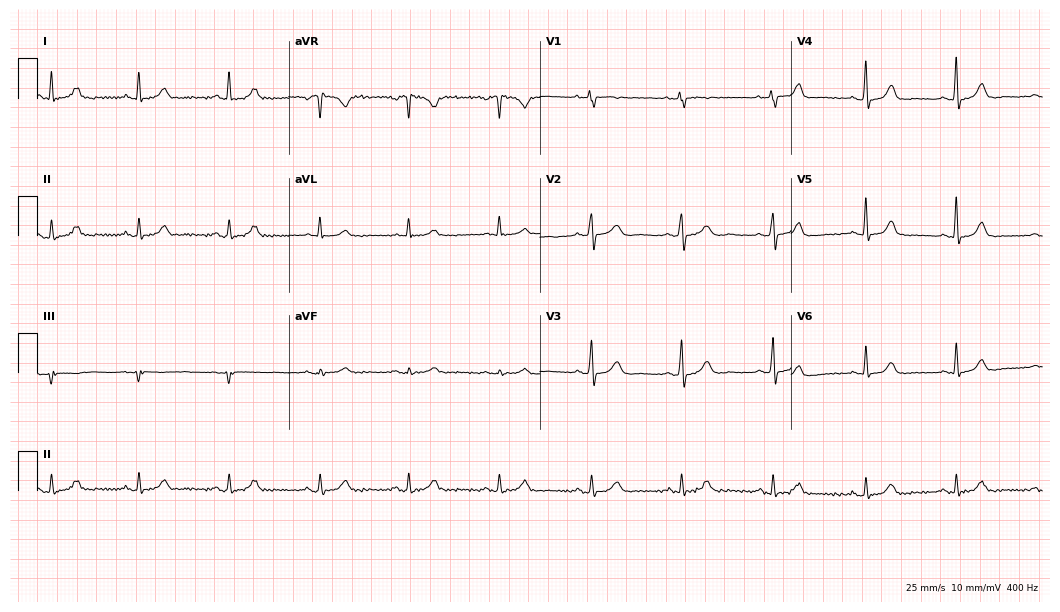
12-lead ECG (10.2-second recording at 400 Hz) from a woman, 63 years old. Labelled as a normal ECG.